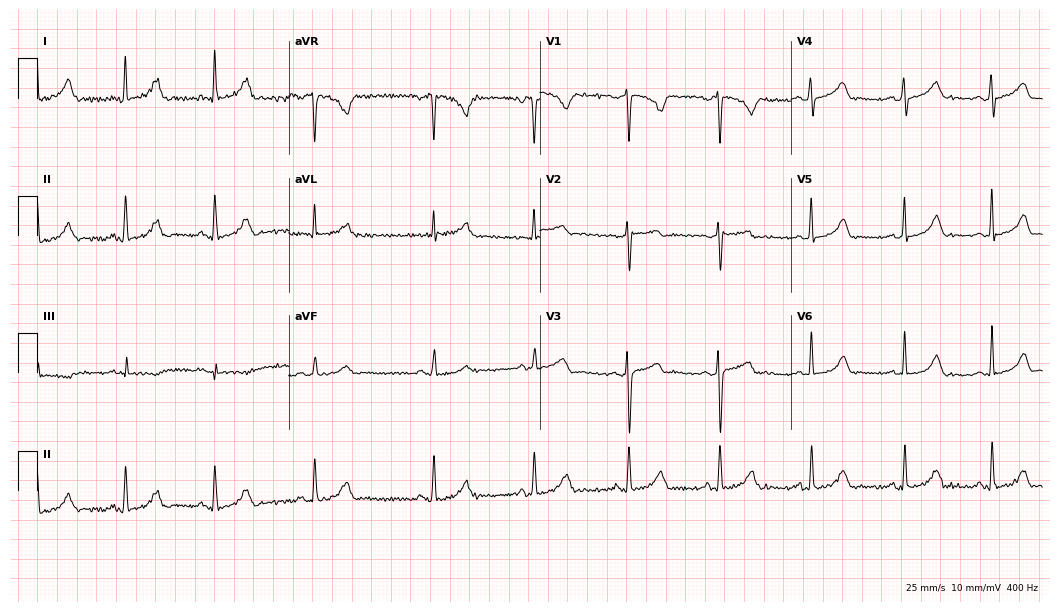
Resting 12-lead electrocardiogram (10.2-second recording at 400 Hz). Patient: a female, 32 years old. None of these six findings is recorded: first-degree AV block, right bundle branch block, left bundle branch block, sinus bradycardia, atrial fibrillation, sinus tachycardia. Other findings, if any, are not listed.